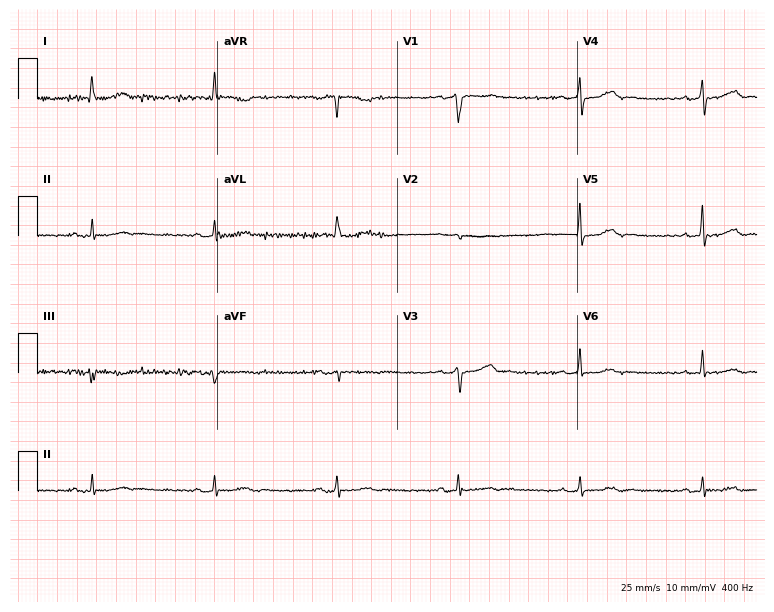
Electrocardiogram (7.3-second recording at 400 Hz), an 81-year-old female patient. Of the six screened findings (first-degree AV block, right bundle branch block, left bundle branch block, sinus bradycardia, atrial fibrillation, sinus tachycardia), none is recorded.